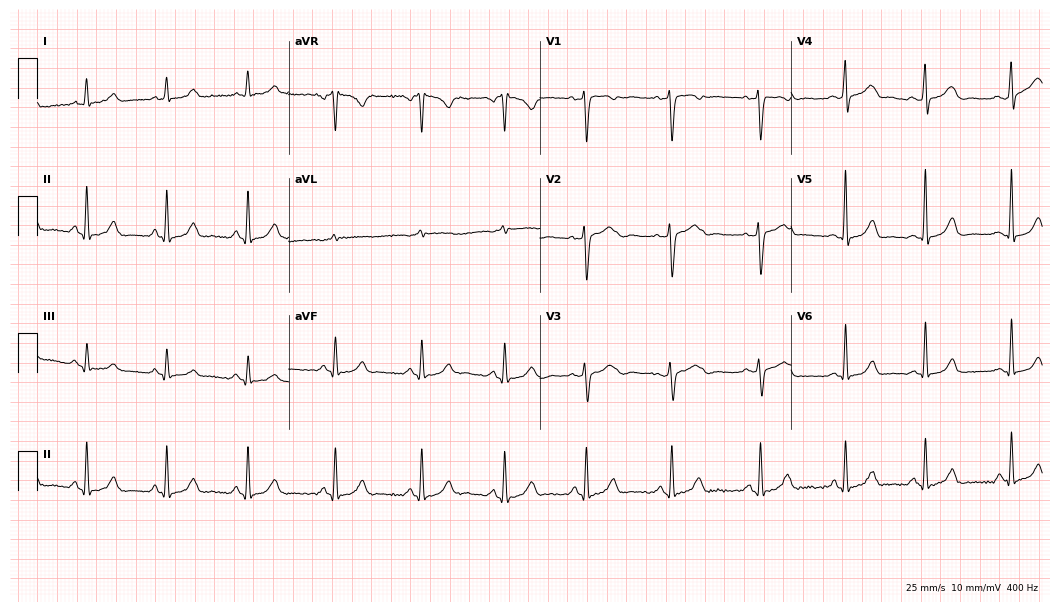
Electrocardiogram (10.2-second recording at 400 Hz), a woman, 36 years old. Overall reading on record: normal ECG.